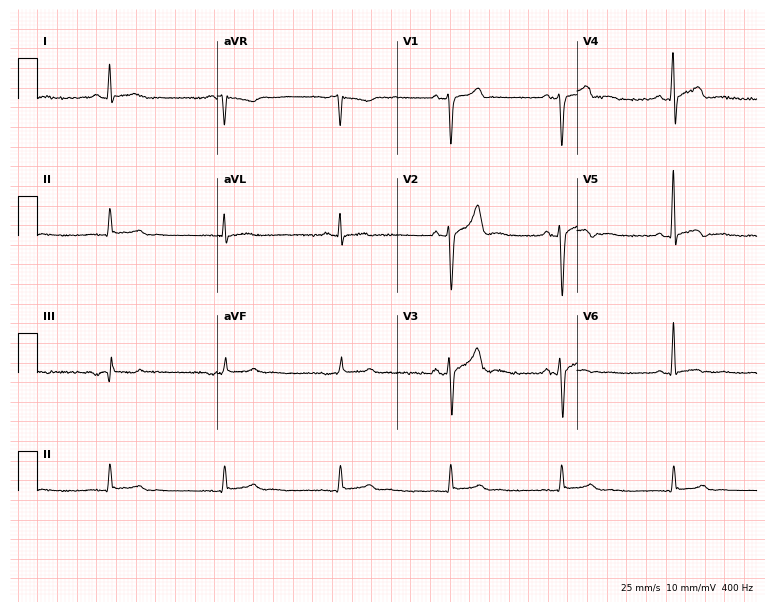
Resting 12-lead electrocardiogram (7.3-second recording at 400 Hz). Patient: a 48-year-old man. None of these six findings is recorded: first-degree AV block, right bundle branch block, left bundle branch block, sinus bradycardia, atrial fibrillation, sinus tachycardia.